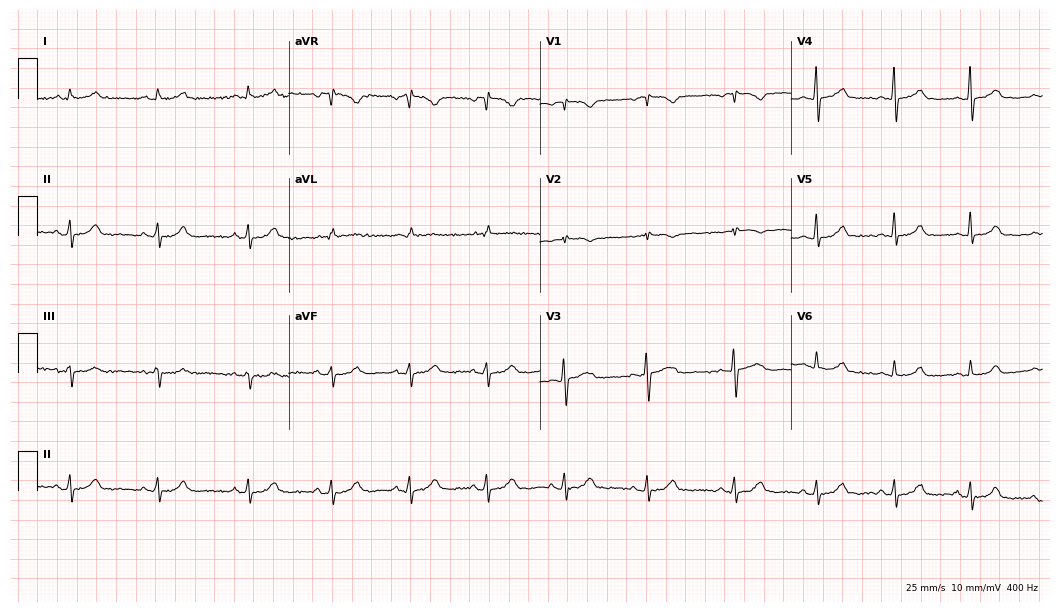
12-lead ECG from a female, 54 years old. Labelled as a normal ECG.